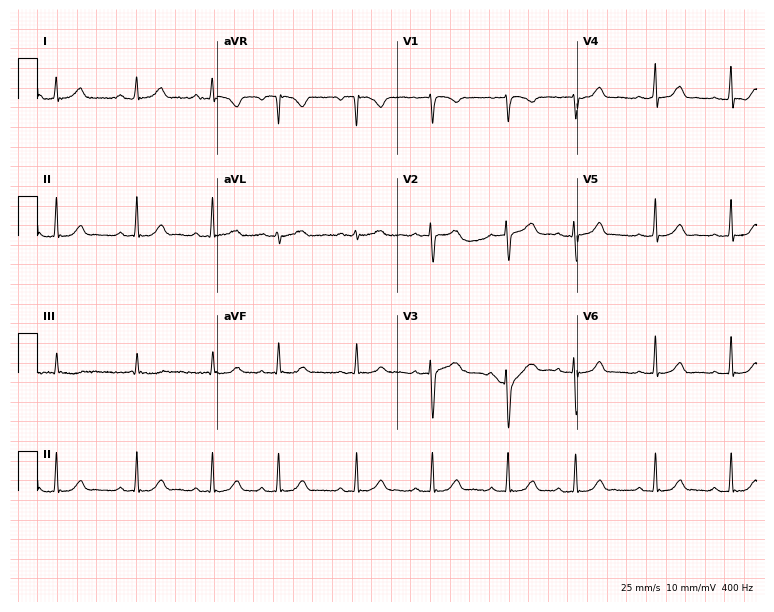
Standard 12-lead ECG recorded from a 25-year-old woman (7.3-second recording at 400 Hz). Read as a normal ECG.